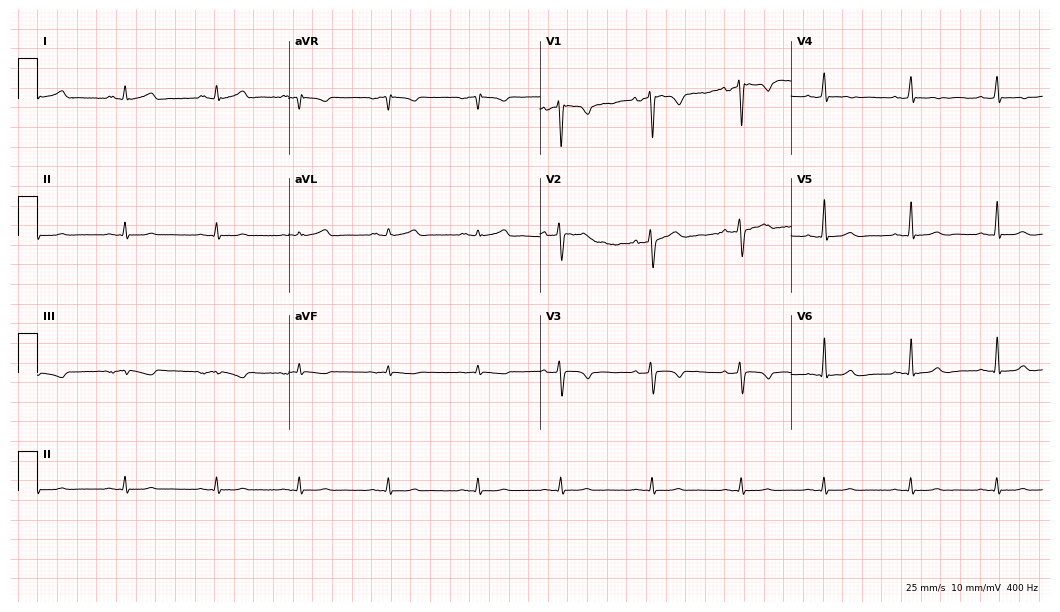
12-lead ECG from a 25-year-old female. Screened for six findings — first-degree AV block, right bundle branch block (RBBB), left bundle branch block (LBBB), sinus bradycardia, atrial fibrillation (AF), sinus tachycardia — none is recorded.